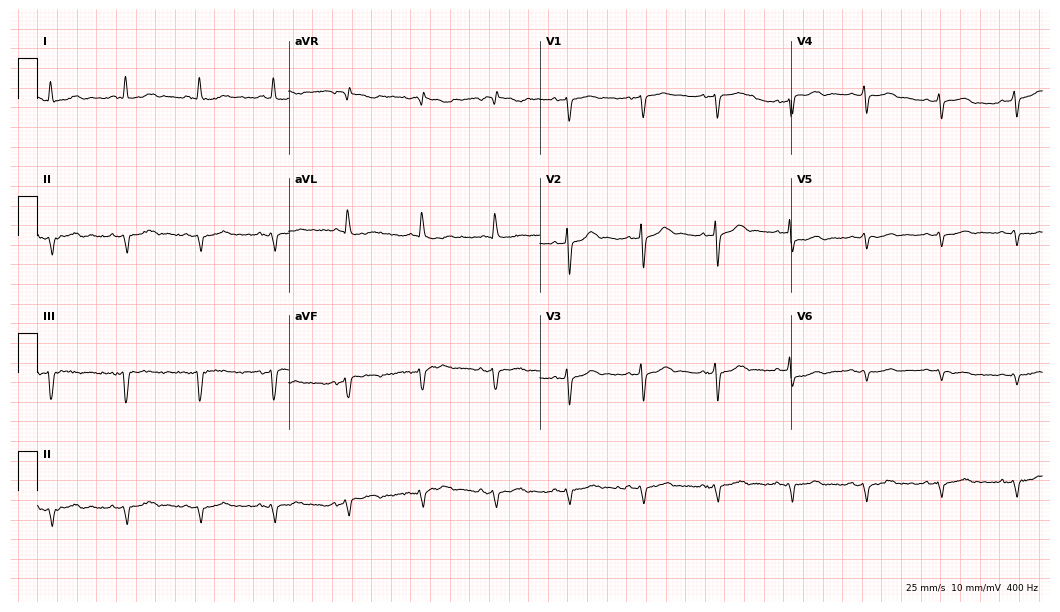
ECG (10.2-second recording at 400 Hz) — a female, 82 years old. Screened for six findings — first-degree AV block, right bundle branch block, left bundle branch block, sinus bradycardia, atrial fibrillation, sinus tachycardia — none is recorded.